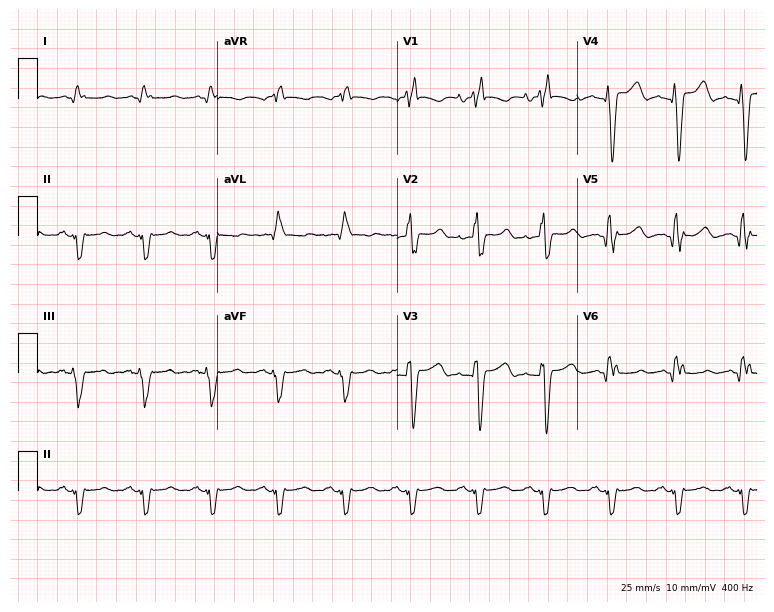
12-lead ECG from a male, 42 years old. Shows right bundle branch block (RBBB).